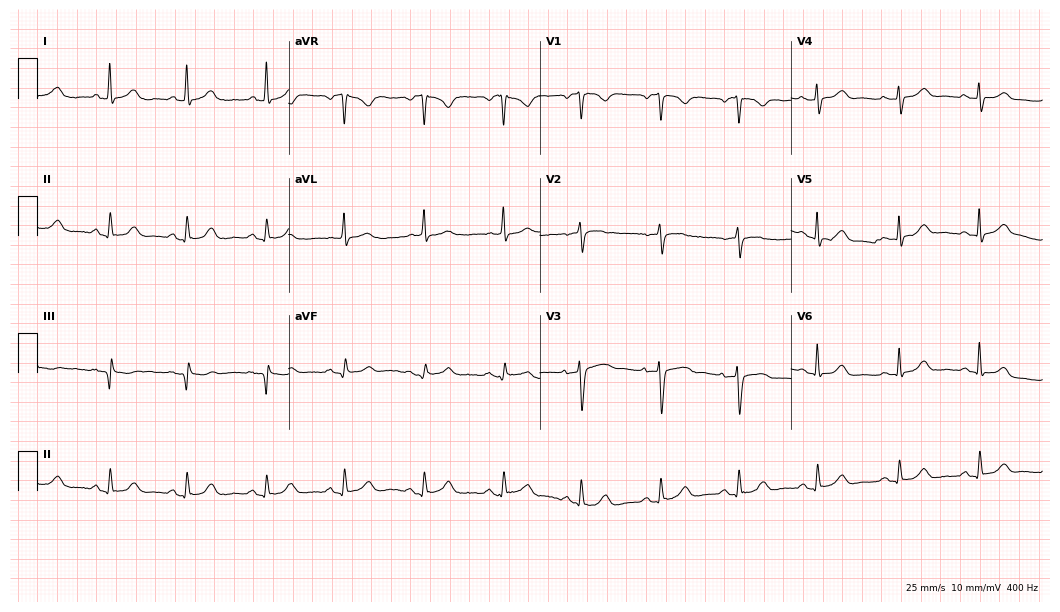
Standard 12-lead ECG recorded from a woman, 72 years old. Read as a normal ECG.